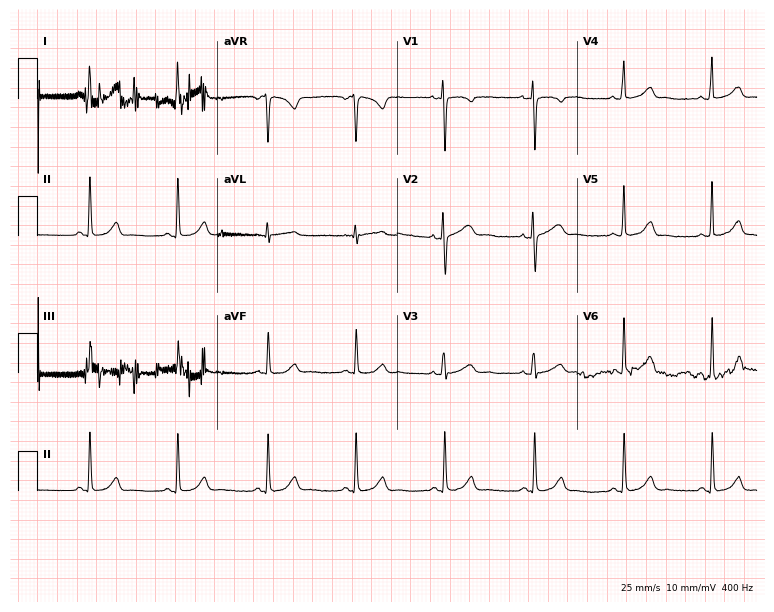
Standard 12-lead ECG recorded from a female, 30 years old (7.3-second recording at 400 Hz). Read as a normal ECG.